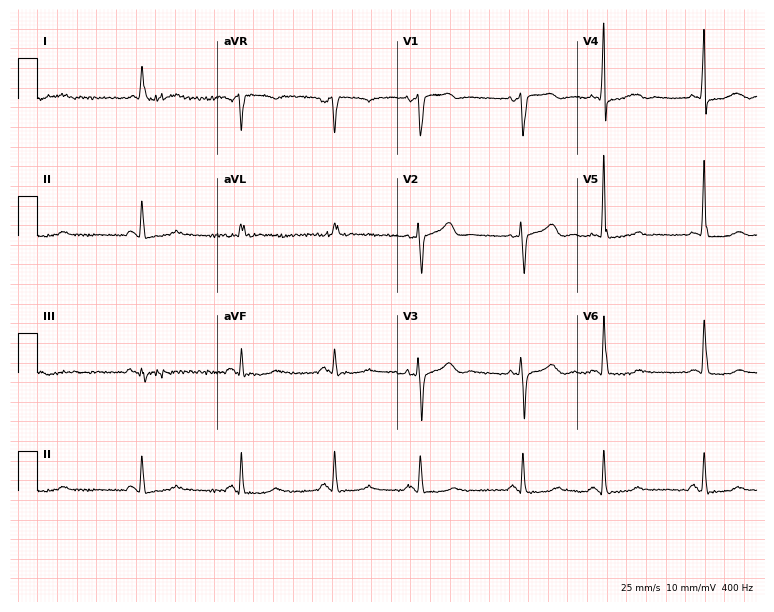
12-lead ECG from a 73-year-old woman (7.3-second recording at 400 Hz). No first-degree AV block, right bundle branch block (RBBB), left bundle branch block (LBBB), sinus bradycardia, atrial fibrillation (AF) or sinus tachycardia recorded for this tracing.